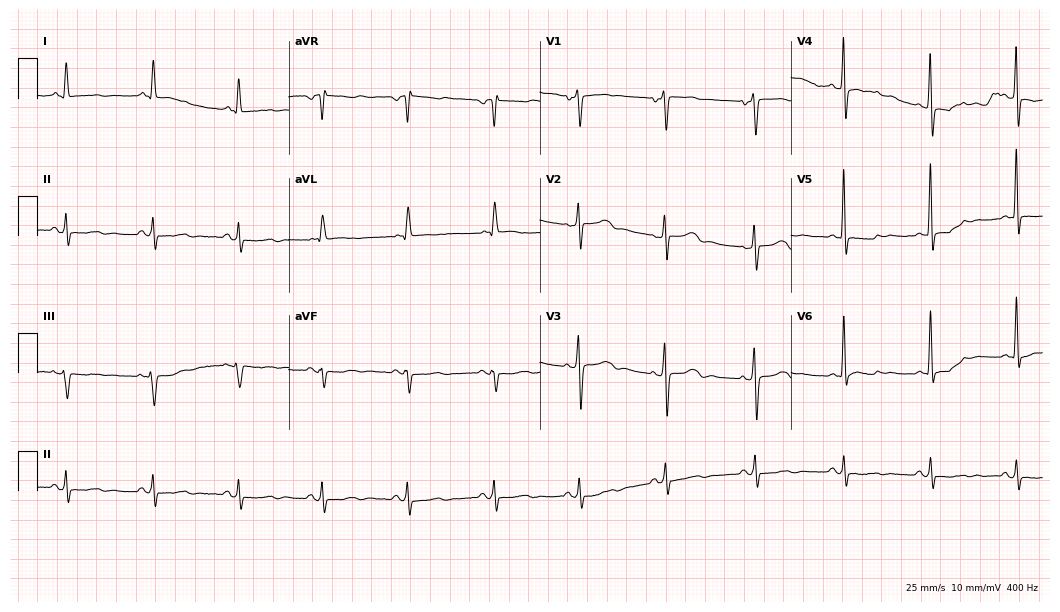
Standard 12-lead ECG recorded from a woman, 71 years old (10.2-second recording at 400 Hz). None of these six findings is recorded: first-degree AV block, right bundle branch block (RBBB), left bundle branch block (LBBB), sinus bradycardia, atrial fibrillation (AF), sinus tachycardia.